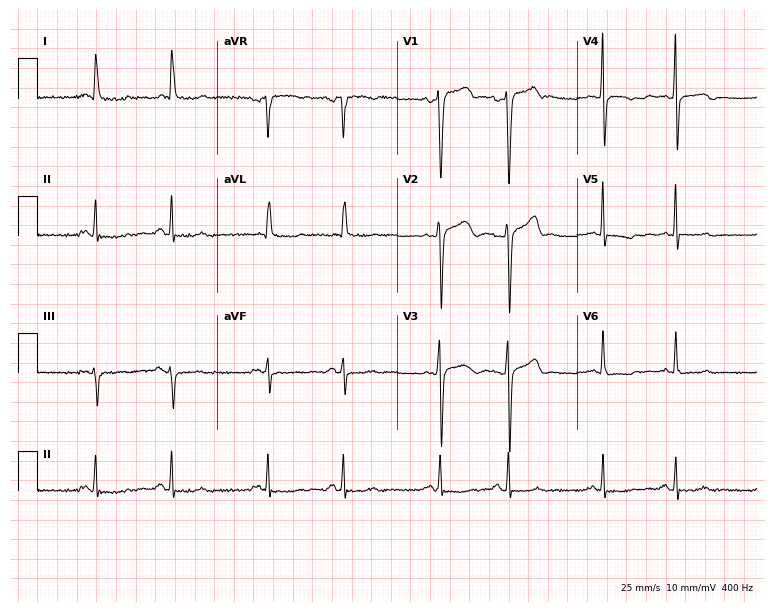
12-lead ECG from a 78-year-old woman (7.3-second recording at 400 Hz). No first-degree AV block, right bundle branch block, left bundle branch block, sinus bradycardia, atrial fibrillation or sinus tachycardia recorded for this tracing.